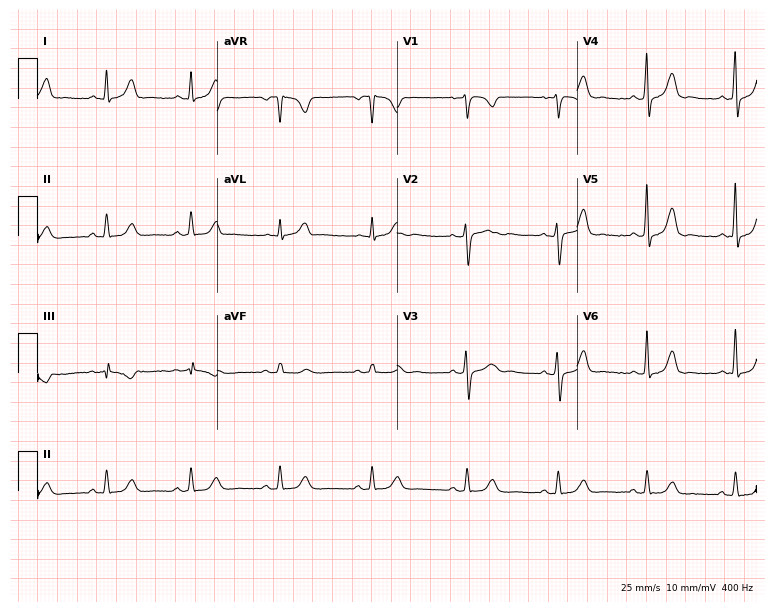
Electrocardiogram, a female, 48 years old. Of the six screened findings (first-degree AV block, right bundle branch block (RBBB), left bundle branch block (LBBB), sinus bradycardia, atrial fibrillation (AF), sinus tachycardia), none is recorded. Findings outside these six are not listed.